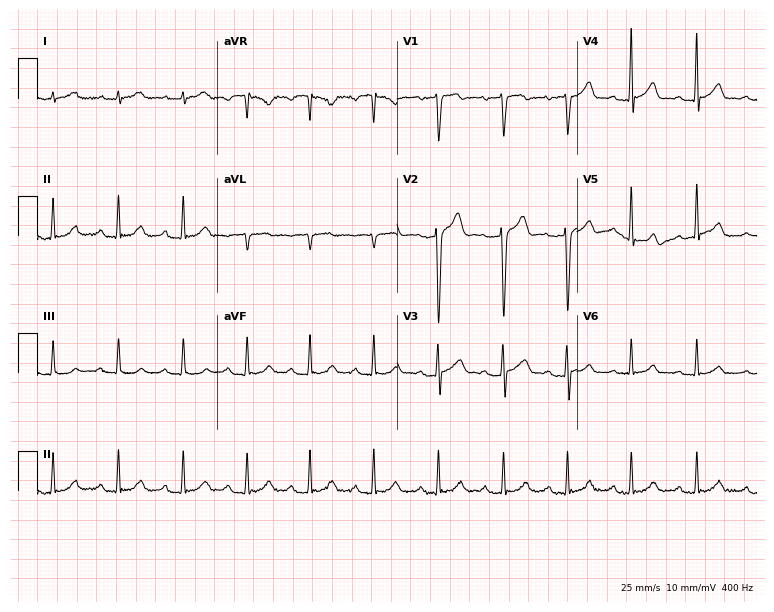
Standard 12-lead ECG recorded from a male patient, 23 years old (7.3-second recording at 400 Hz). Read as a normal ECG.